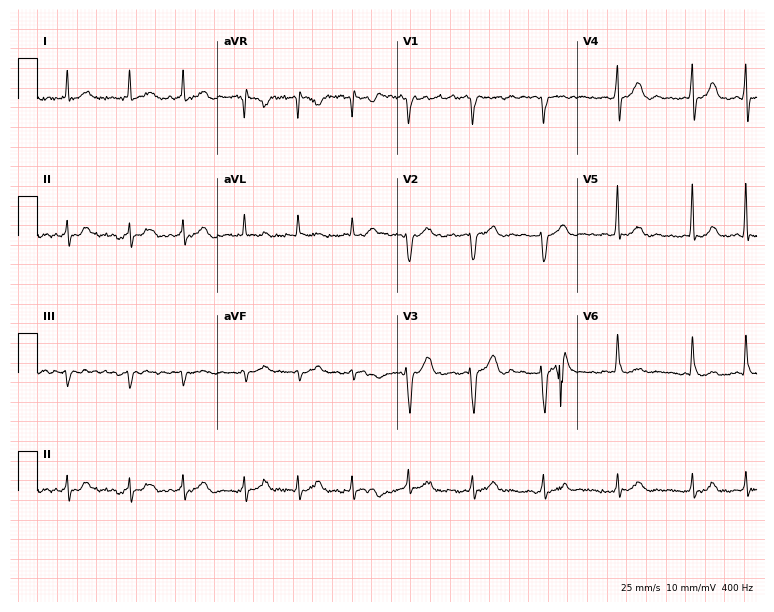
Electrocardiogram, a 49-year-old male. Interpretation includes atrial fibrillation.